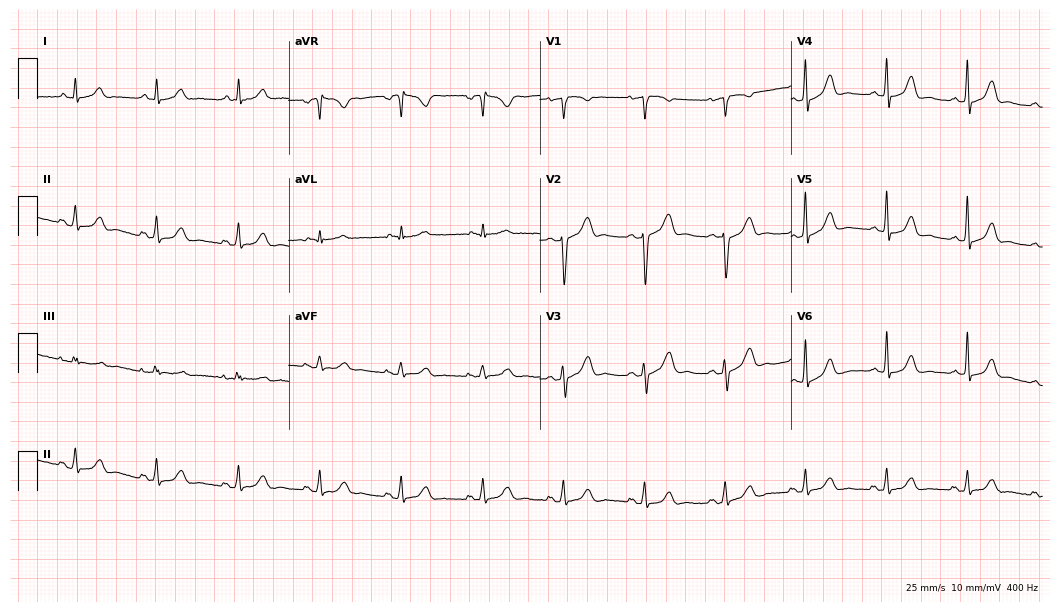
Resting 12-lead electrocardiogram. Patient: a 65-year-old female. Read as a normal ECG.